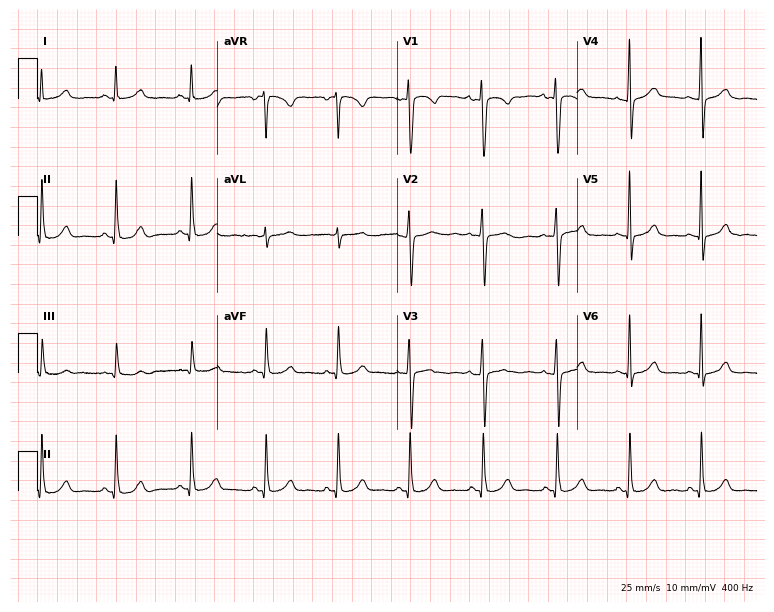
Standard 12-lead ECG recorded from a woman, 32 years old. Read as a normal ECG.